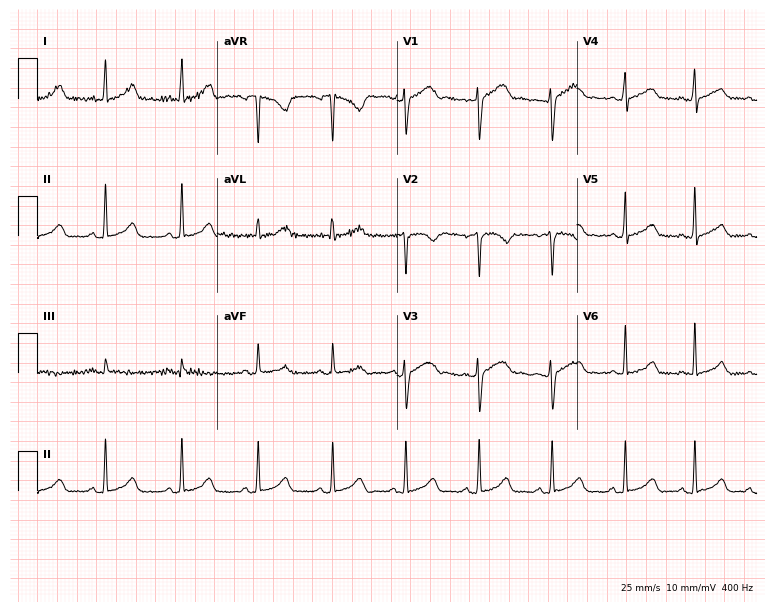
12-lead ECG from a 21-year-old female patient. Labelled as a normal ECG.